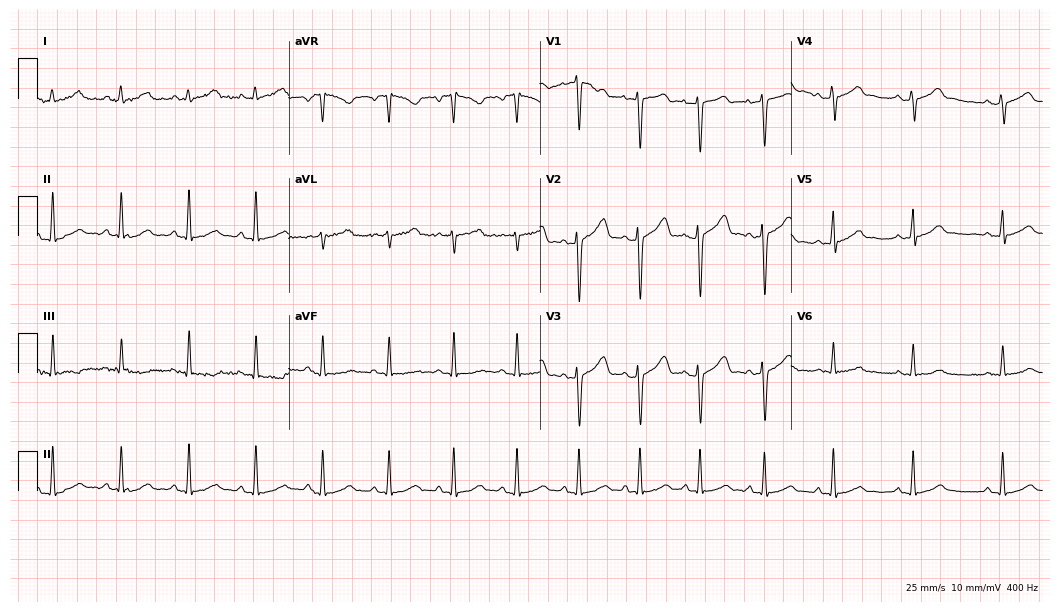
ECG (10.2-second recording at 400 Hz) — a 28-year-old woman. Screened for six findings — first-degree AV block, right bundle branch block, left bundle branch block, sinus bradycardia, atrial fibrillation, sinus tachycardia — none is recorded. Findings outside these six are not listed.